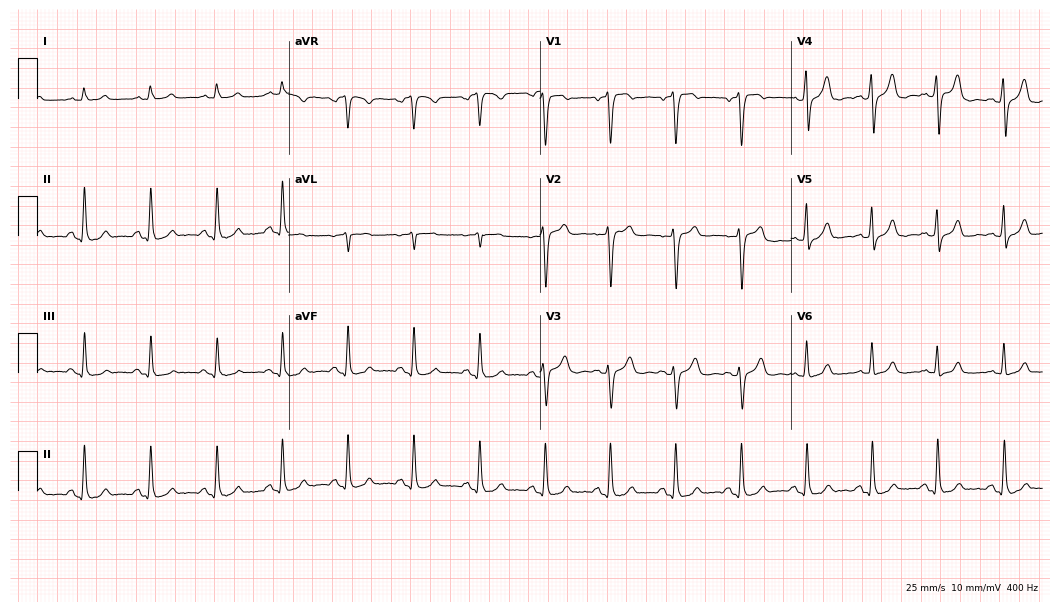
Standard 12-lead ECG recorded from a male, 62 years old. None of these six findings is recorded: first-degree AV block, right bundle branch block, left bundle branch block, sinus bradycardia, atrial fibrillation, sinus tachycardia.